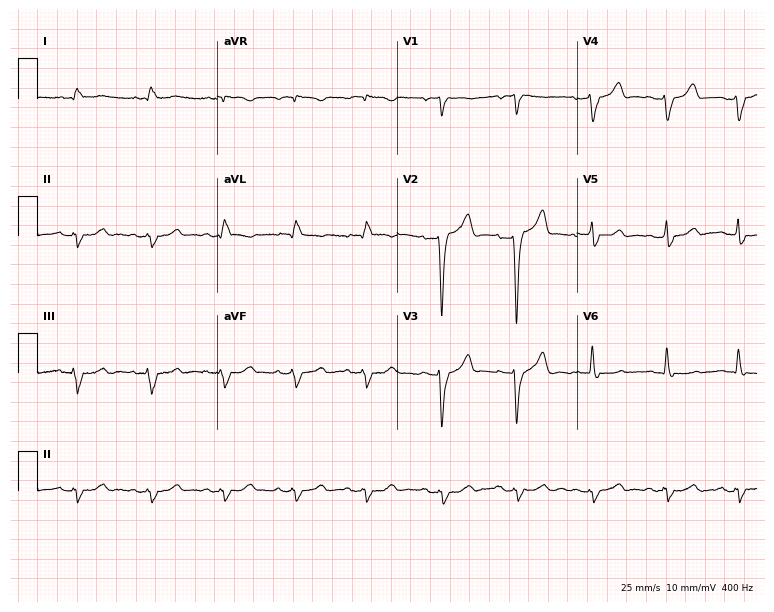
12-lead ECG from a male patient, 55 years old. Screened for six findings — first-degree AV block, right bundle branch block, left bundle branch block, sinus bradycardia, atrial fibrillation, sinus tachycardia — none is recorded. Other findings, if any, are not listed.